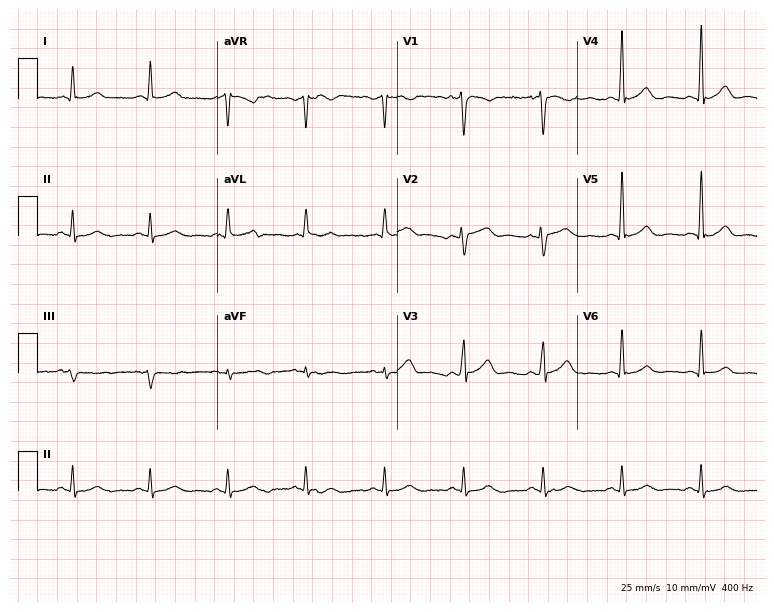
12-lead ECG from a 62-year-old male. Screened for six findings — first-degree AV block, right bundle branch block, left bundle branch block, sinus bradycardia, atrial fibrillation, sinus tachycardia — none is recorded. Only these six findings were labelled.